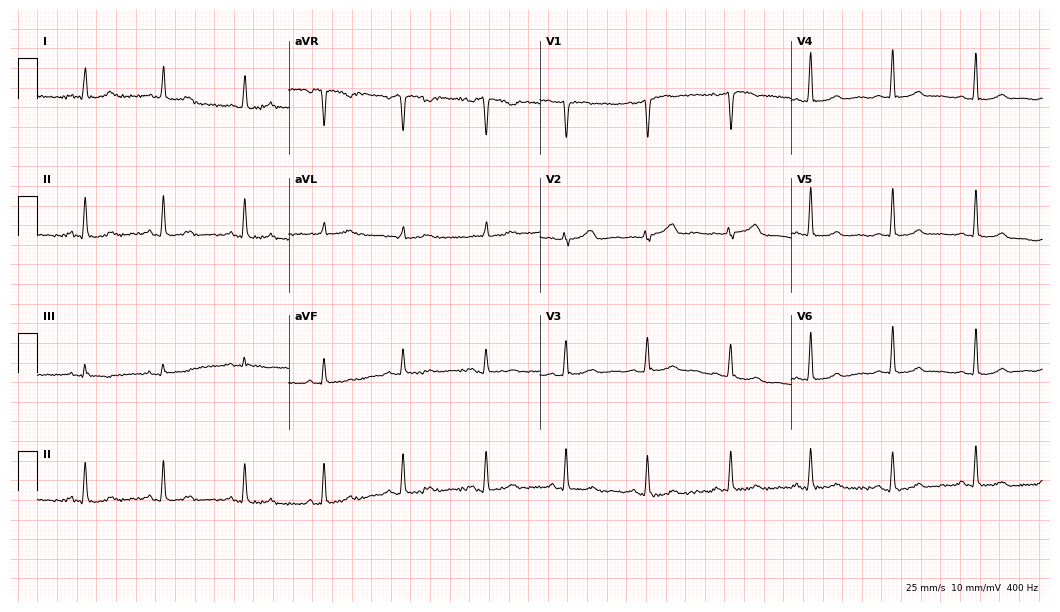
12-lead ECG (10.2-second recording at 400 Hz) from a female, 50 years old. Labelled as a normal ECG.